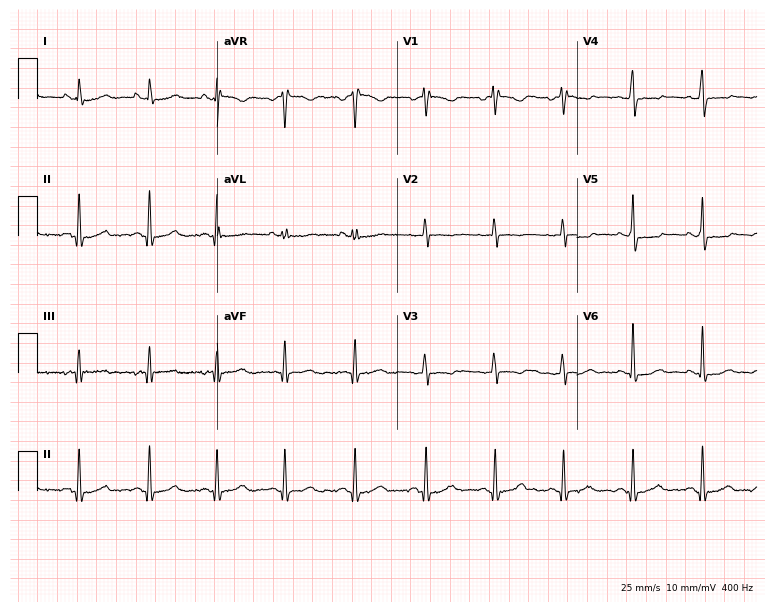
12-lead ECG from a female, 40 years old. Screened for six findings — first-degree AV block, right bundle branch block, left bundle branch block, sinus bradycardia, atrial fibrillation, sinus tachycardia — none is recorded.